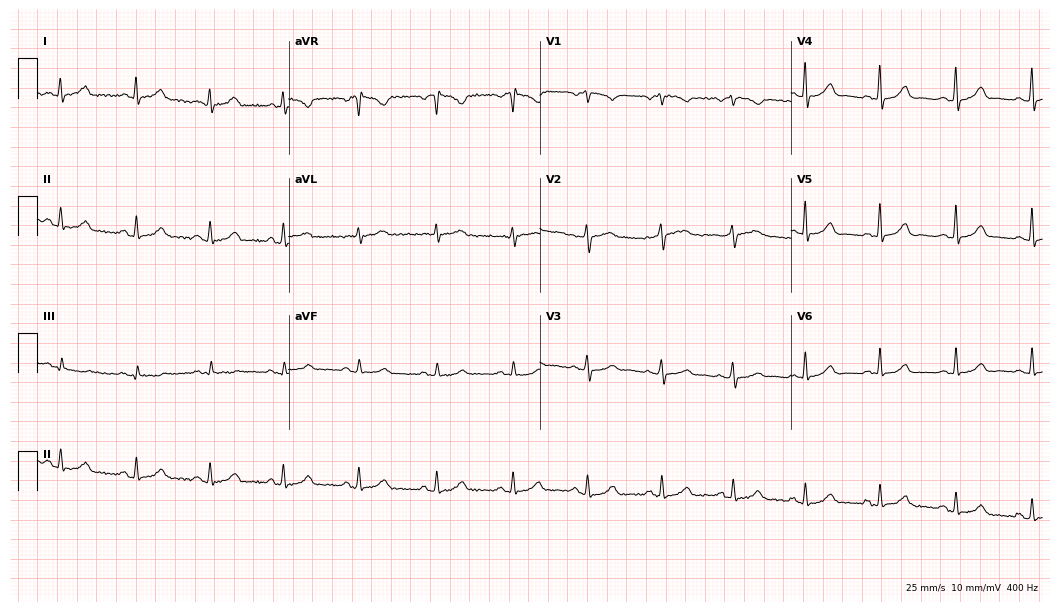
ECG — a 36-year-old female. Labelled as a normal ECG.